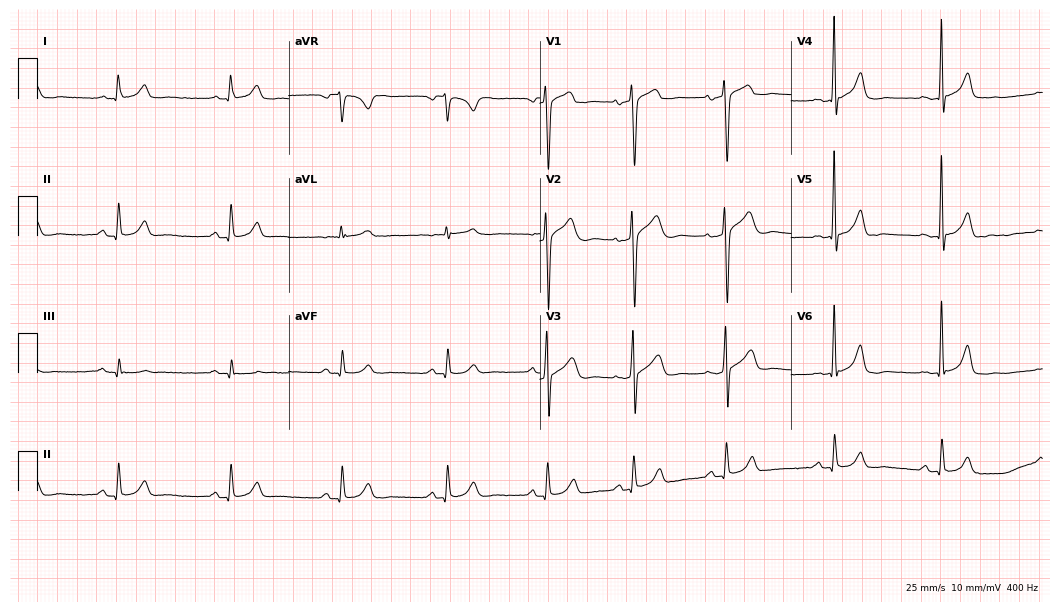
Electrocardiogram, a 32-year-old male. Overall reading on record: normal ECG.